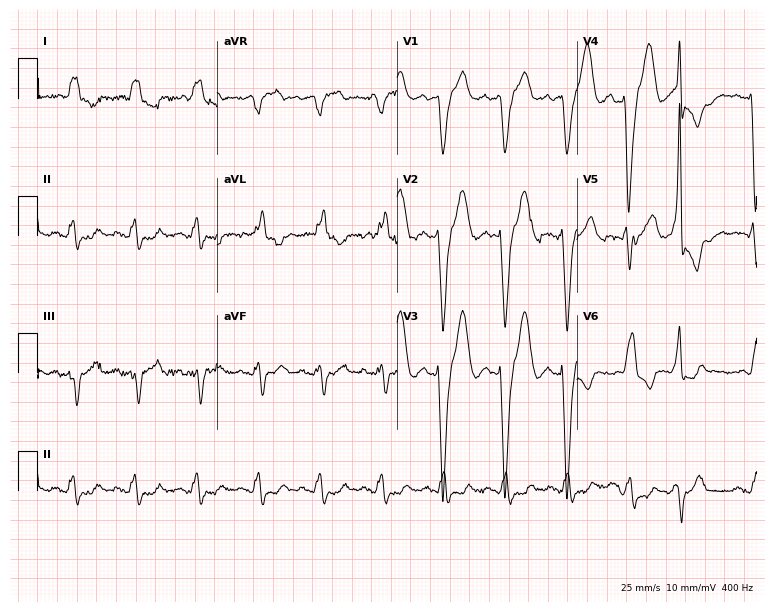
ECG (7.3-second recording at 400 Hz) — an 80-year-old male patient. Findings include left bundle branch block.